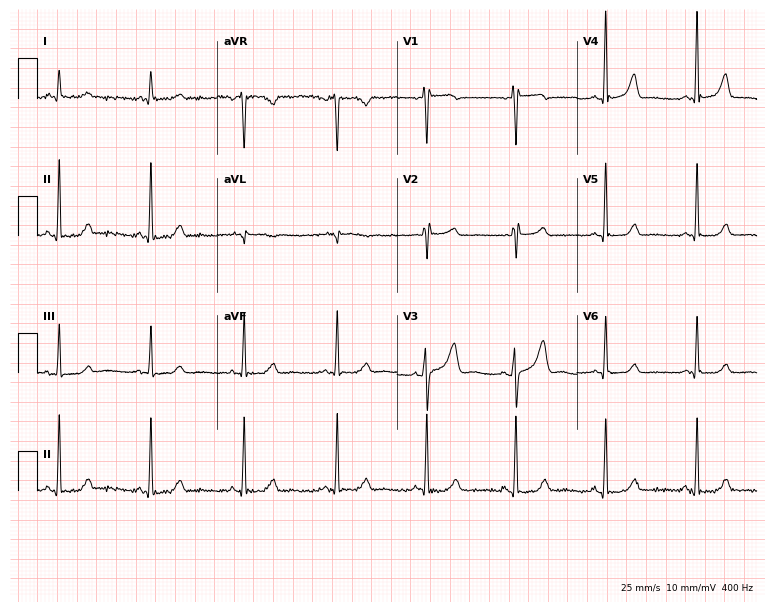
12-lead ECG from a female patient, 47 years old. Recorded interpretation: within normal limits.